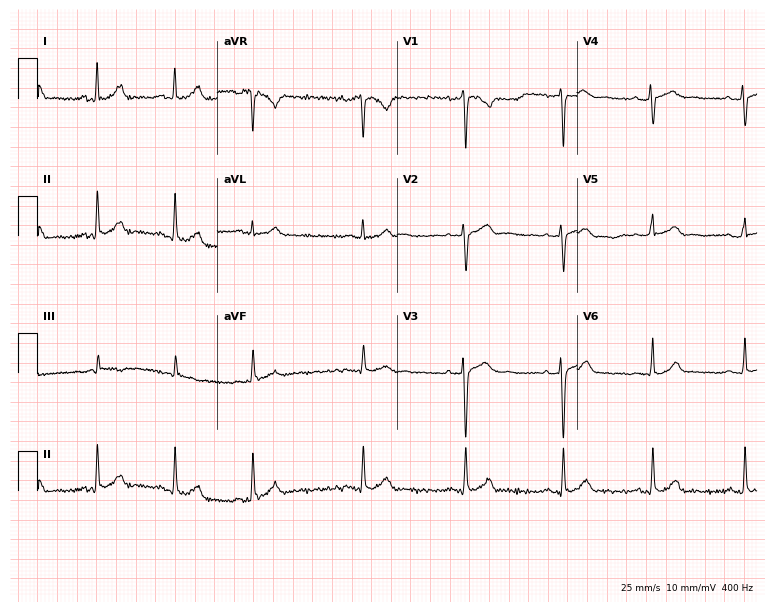
Electrocardiogram, a 25-year-old woman. Overall reading on record: normal ECG.